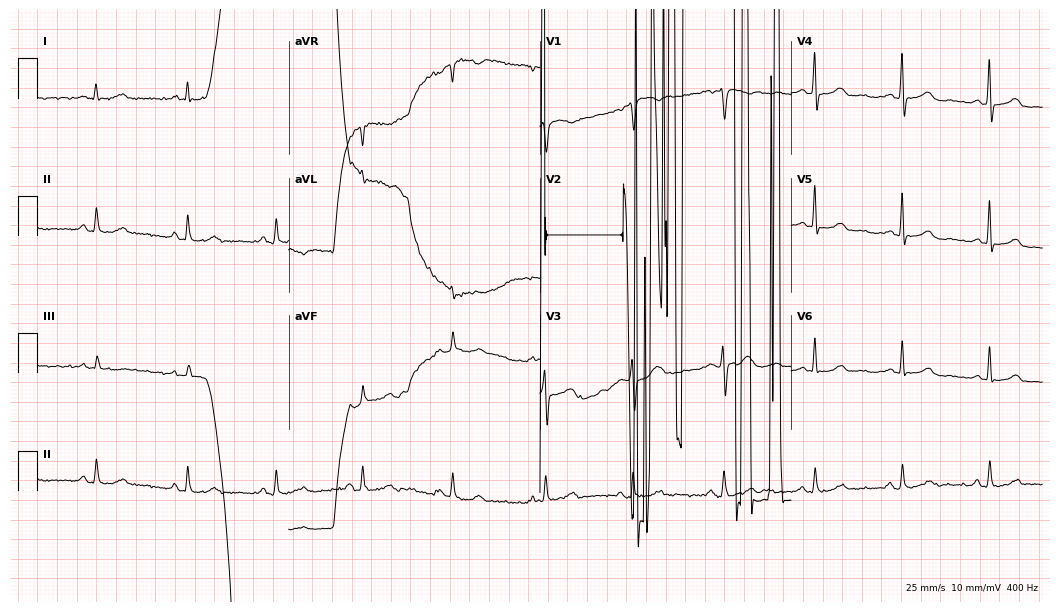
12-lead ECG from a 54-year-old female patient. Screened for six findings — first-degree AV block, right bundle branch block, left bundle branch block, sinus bradycardia, atrial fibrillation, sinus tachycardia — none is recorded.